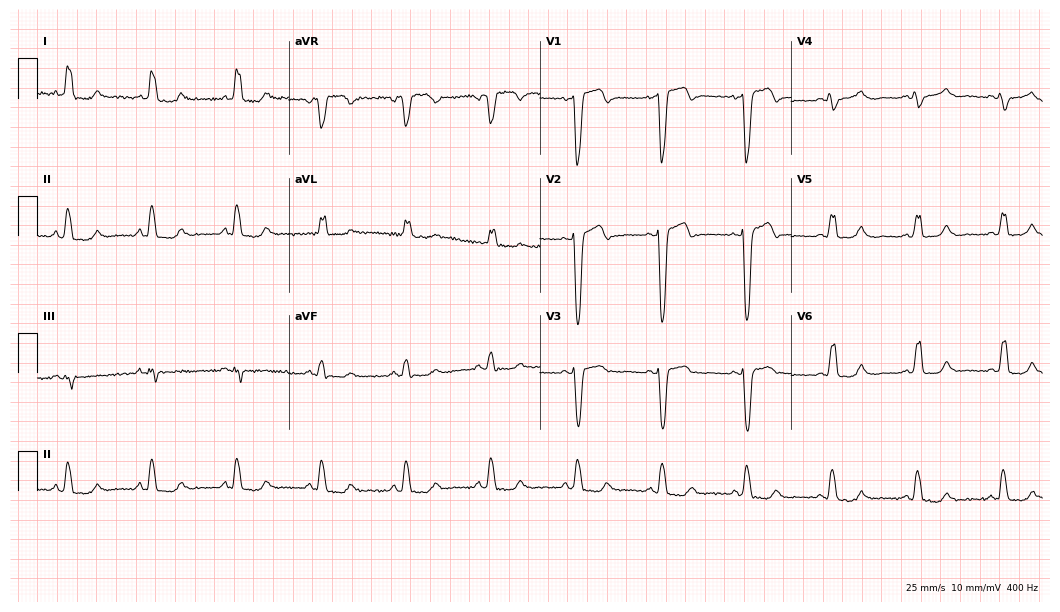
12-lead ECG from a 73-year-old female. Findings include left bundle branch block (LBBB).